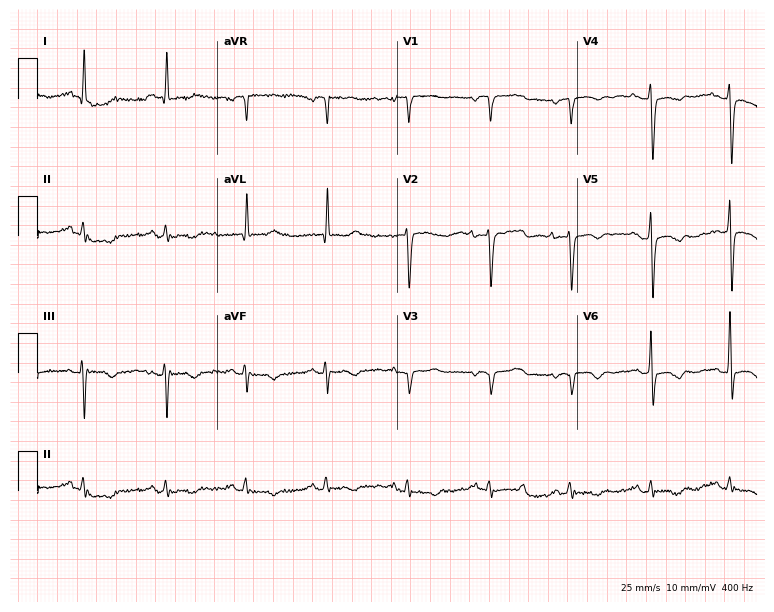
12-lead ECG from a female patient, 68 years old (7.3-second recording at 400 Hz). No first-degree AV block, right bundle branch block, left bundle branch block, sinus bradycardia, atrial fibrillation or sinus tachycardia recorded for this tracing. Other findings, if any, are not listed.